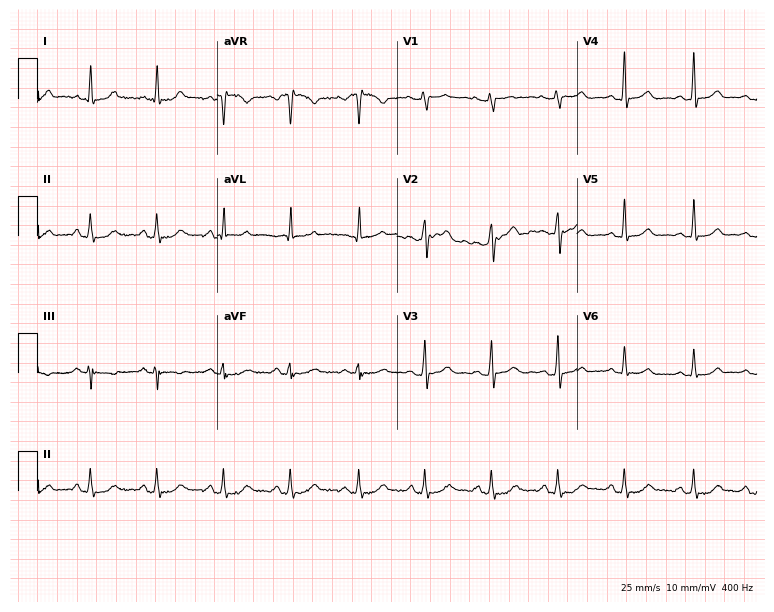
Standard 12-lead ECG recorded from a female patient, 45 years old (7.3-second recording at 400 Hz). Read as a normal ECG.